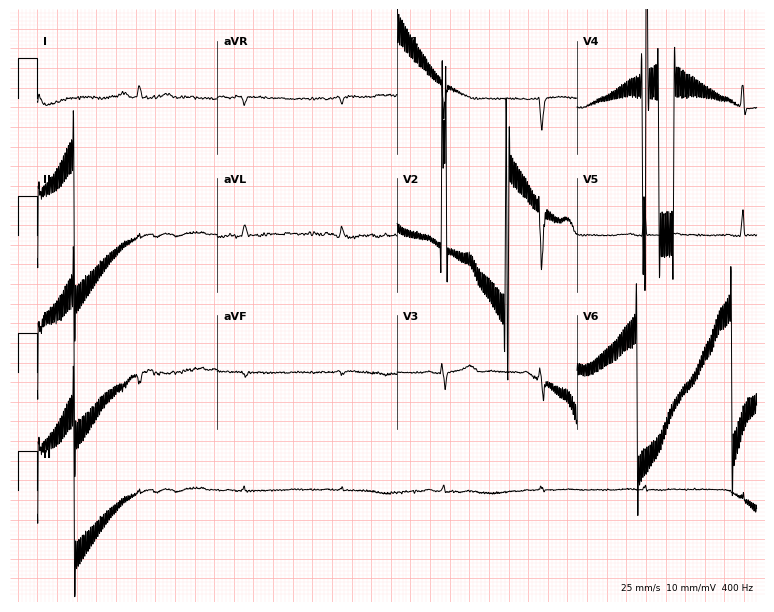
Standard 12-lead ECG recorded from a 51-year-old female. None of these six findings is recorded: first-degree AV block, right bundle branch block (RBBB), left bundle branch block (LBBB), sinus bradycardia, atrial fibrillation (AF), sinus tachycardia.